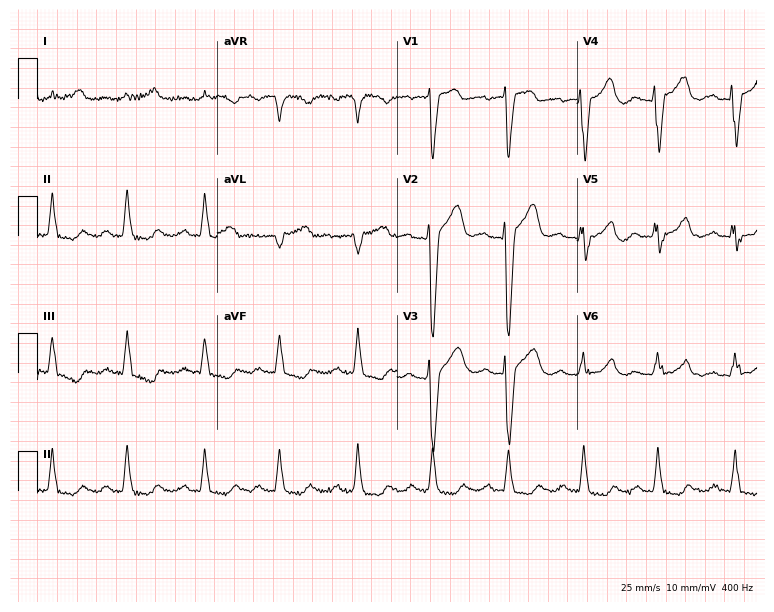
Electrocardiogram, a female patient, 66 years old. Of the six screened findings (first-degree AV block, right bundle branch block, left bundle branch block, sinus bradycardia, atrial fibrillation, sinus tachycardia), none is recorded. Only these six findings were labelled.